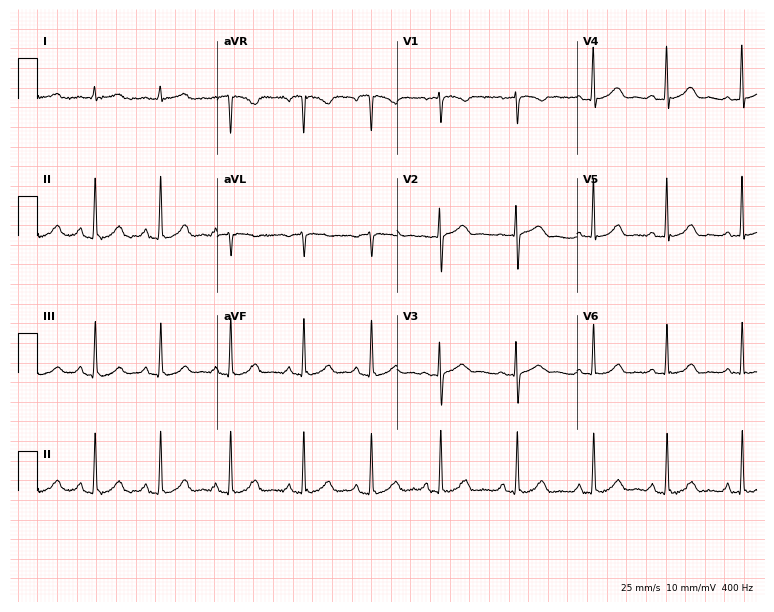
Resting 12-lead electrocardiogram (7.3-second recording at 400 Hz). Patient: a female, 50 years old. Read as a normal ECG.